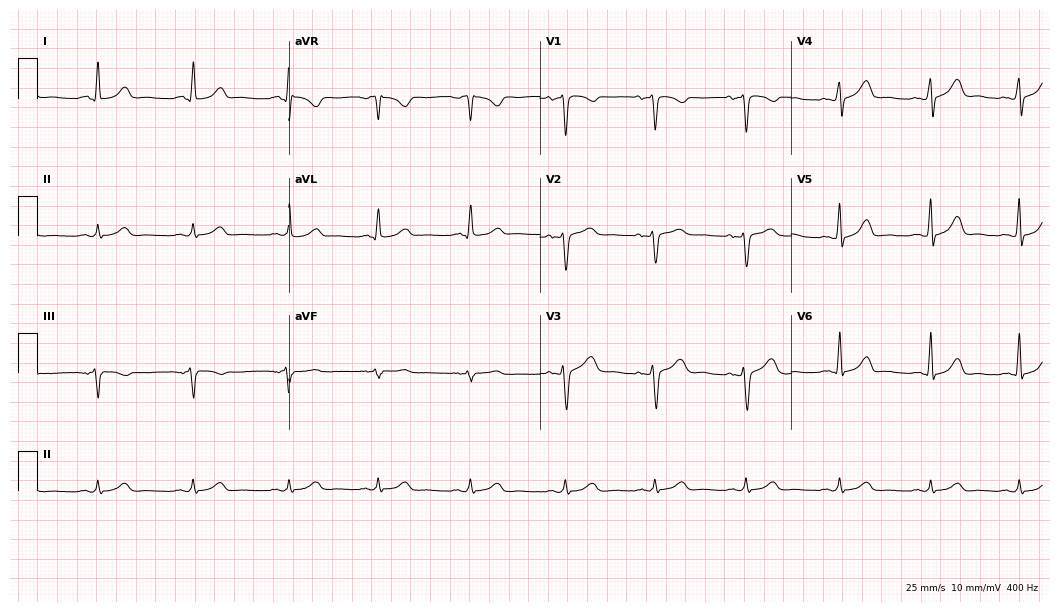
Resting 12-lead electrocardiogram. Patient: a 45-year-old female. Read as a normal ECG.